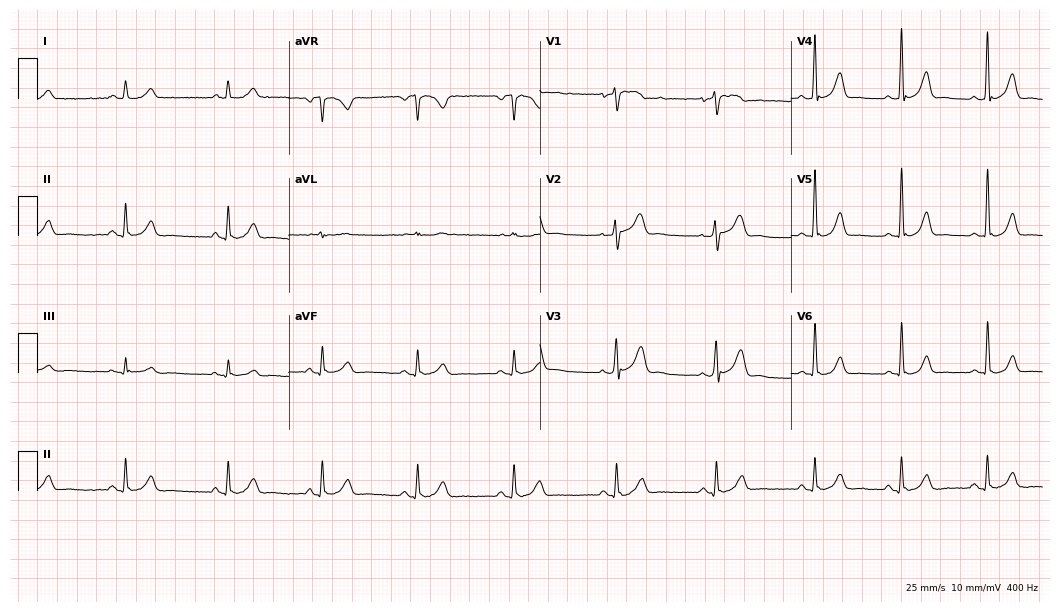
Resting 12-lead electrocardiogram (10.2-second recording at 400 Hz). Patient: a man, 46 years old. Read as a normal ECG.